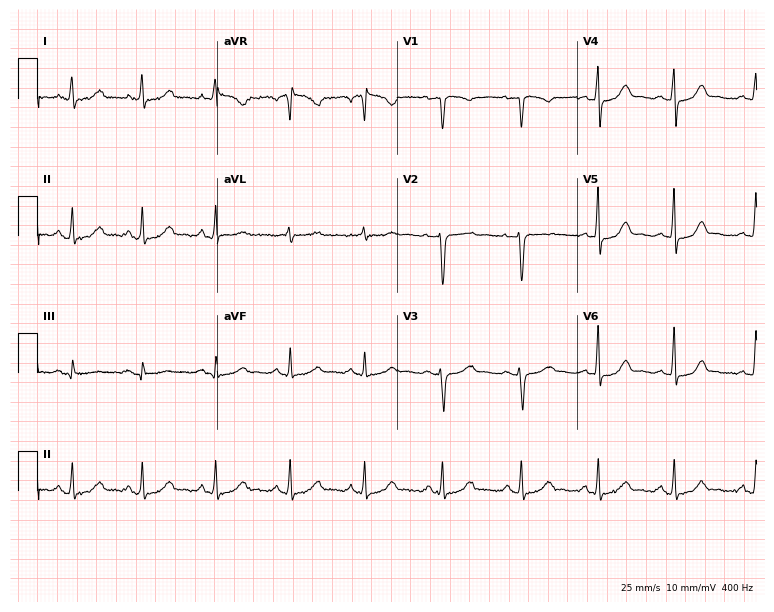
Resting 12-lead electrocardiogram (7.3-second recording at 400 Hz). Patient: a woman, 44 years old. Read as a normal ECG.